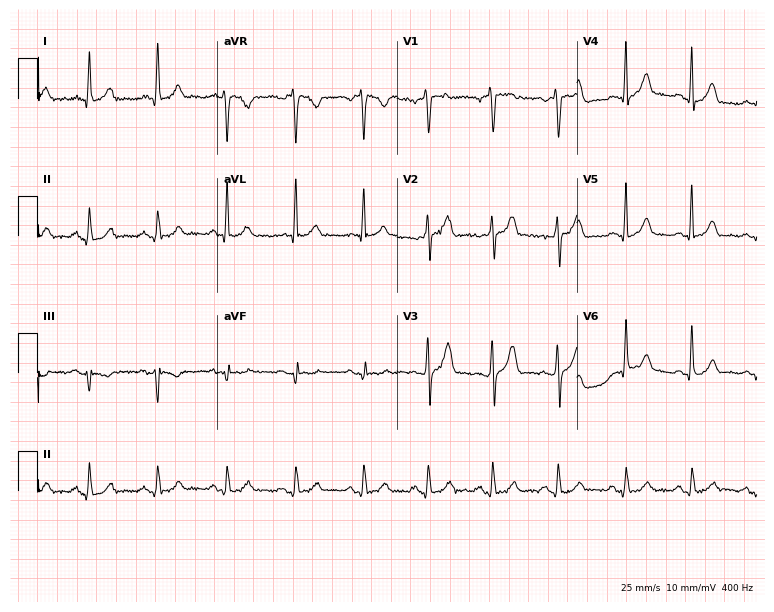
ECG (7.3-second recording at 400 Hz) — a 42-year-old male patient. Labelled as a normal ECG.